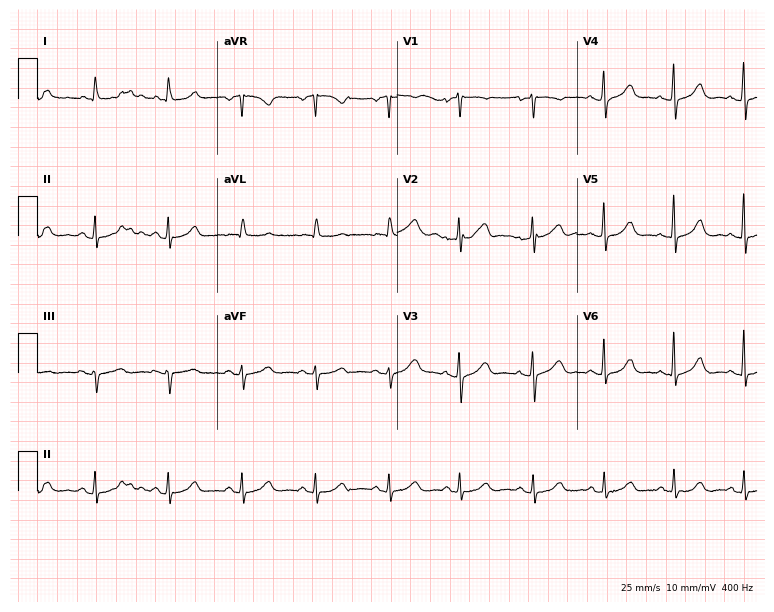
12-lead ECG (7.3-second recording at 400 Hz) from a 59-year-old female patient. Labelled as a normal ECG.